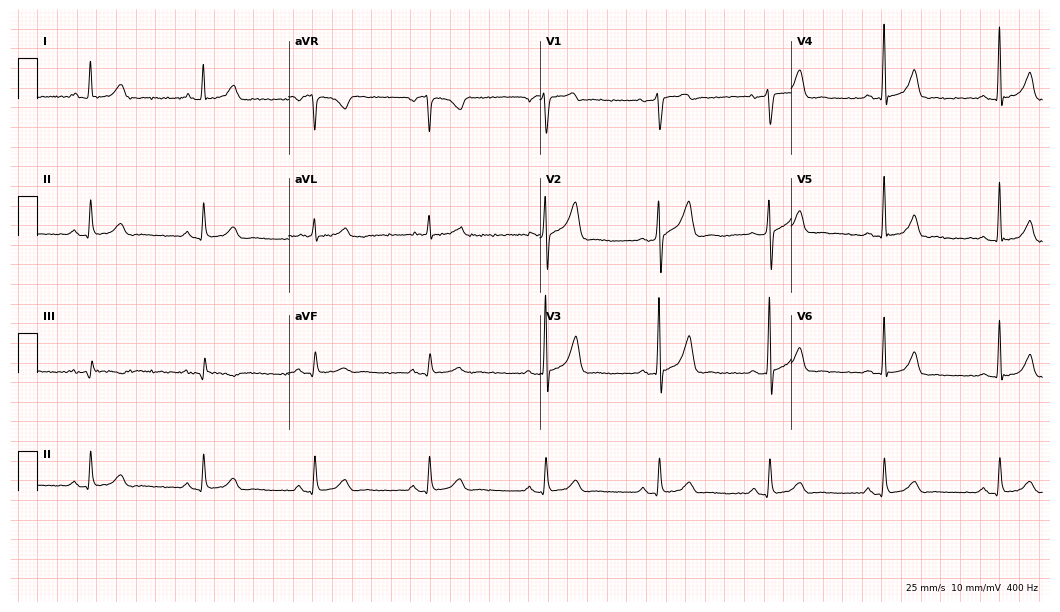
Resting 12-lead electrocardiogram (10.2-second recording at 400 Hz). Patient: a male, 48 years old. Read as a normal ECG.